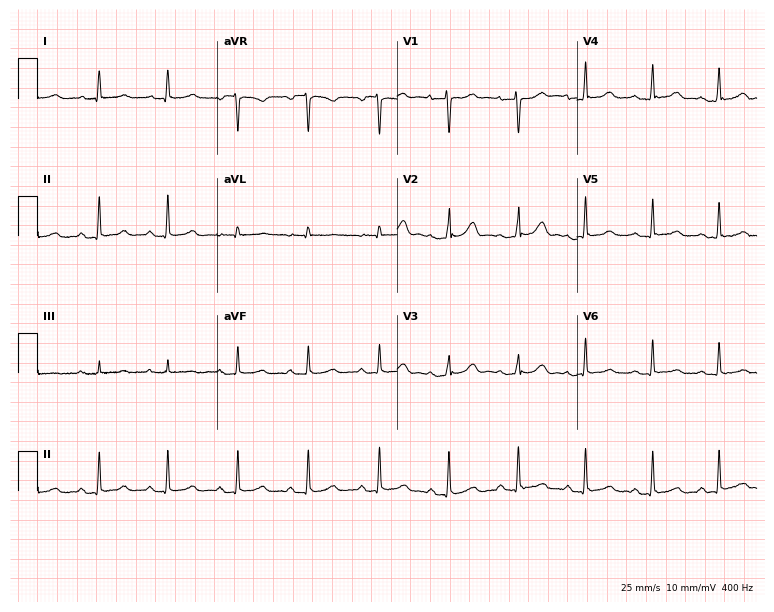
Resting 12-lead electrocardiogram (7.3-second recording at 400 Hz). Patient: a male, 44 years old. Read as a normal ECG.